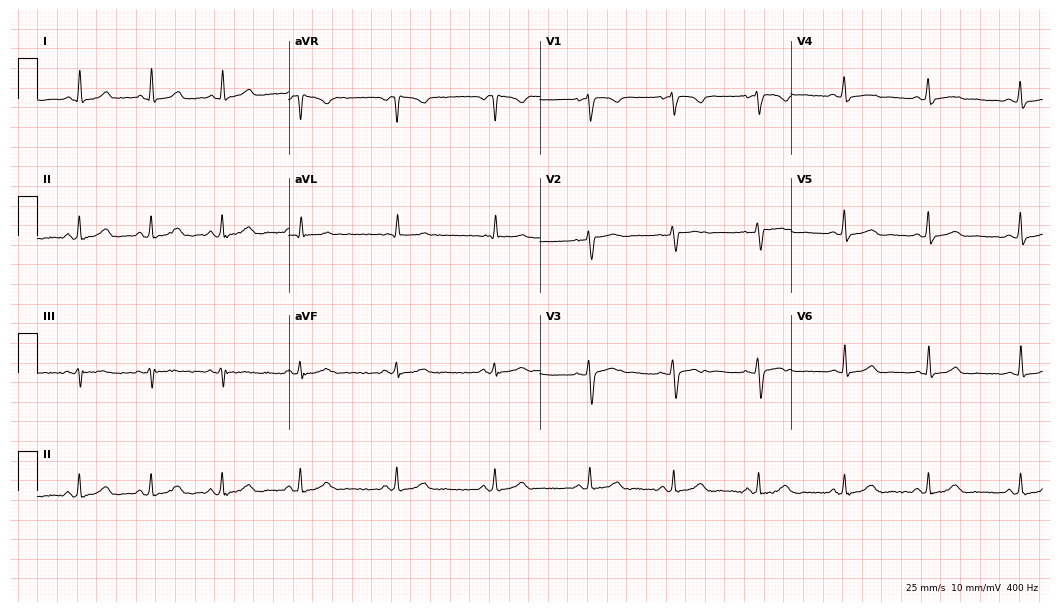
Electrocardiogram (10.2-second recording at 400 Hz), a 41-year-old female. Overall reading on record: normal ECG.